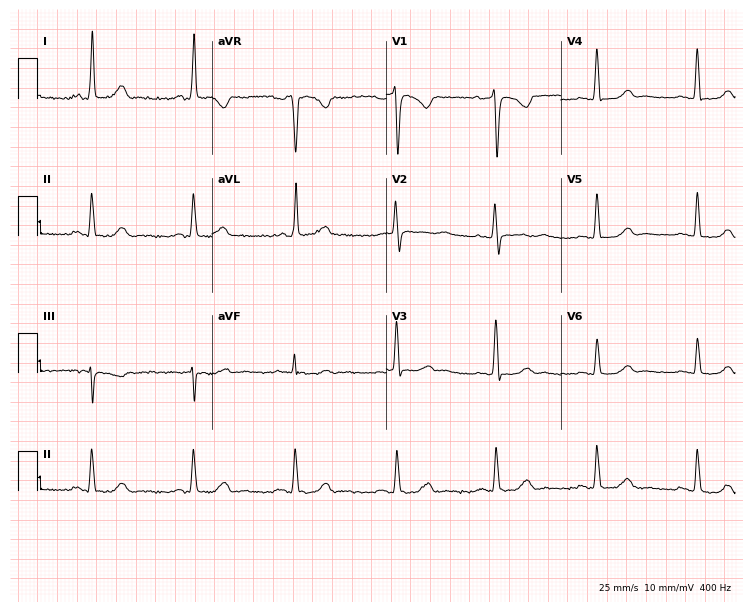
12-lead ECG (7.1-second recording at 400 Hz) from a 45-year-old woman. Screened for six findings — first-degree AV block, right bundle branch block, left bundle branch block, sinus bradycardia, atrial fibrillation, sinus tachycardia — none is recorded. Only these six findings were labelled.